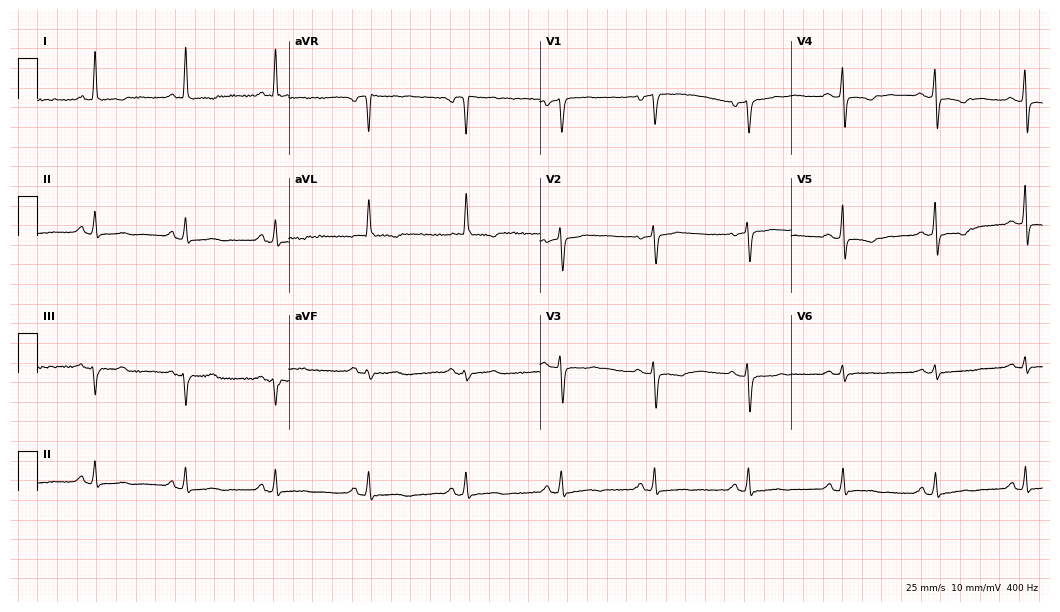
Resting 12-lead electrocardiogram (10.2-second recording at 400 Hz). Patient: a 58-year-old female. None of these six findings is recorded: first-degree AV block, right bundle branch block (RBBB), left bundle branch block (LBBB), sinus bradycardia, atrial fibrillation (AF), sinus tachycardia.